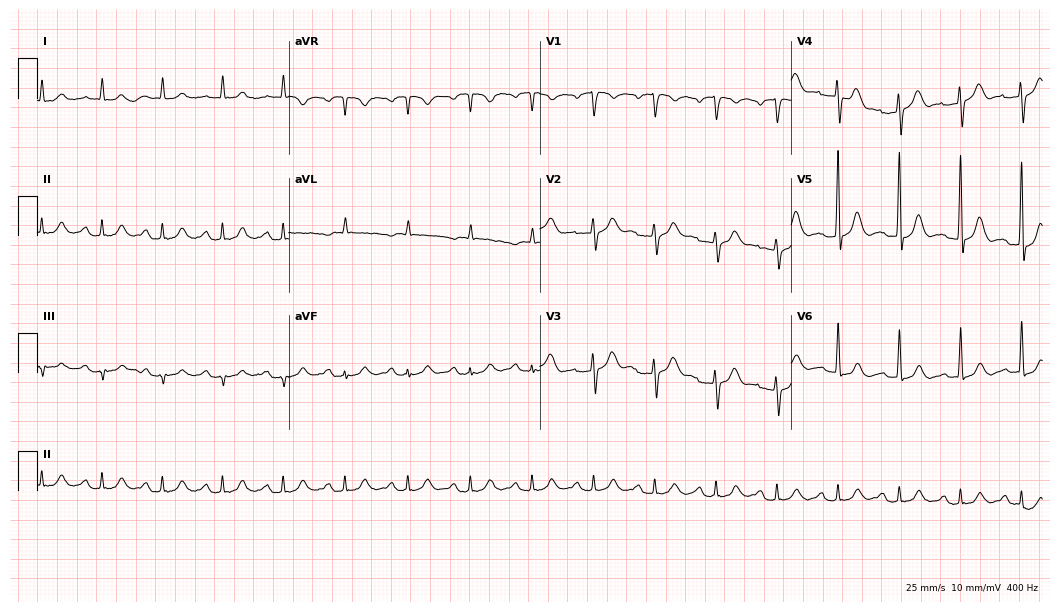
12-lead ECG (10.2-second recording at 400 Hz) from a male patient, 79 years old. Labelled as a normal ECG.